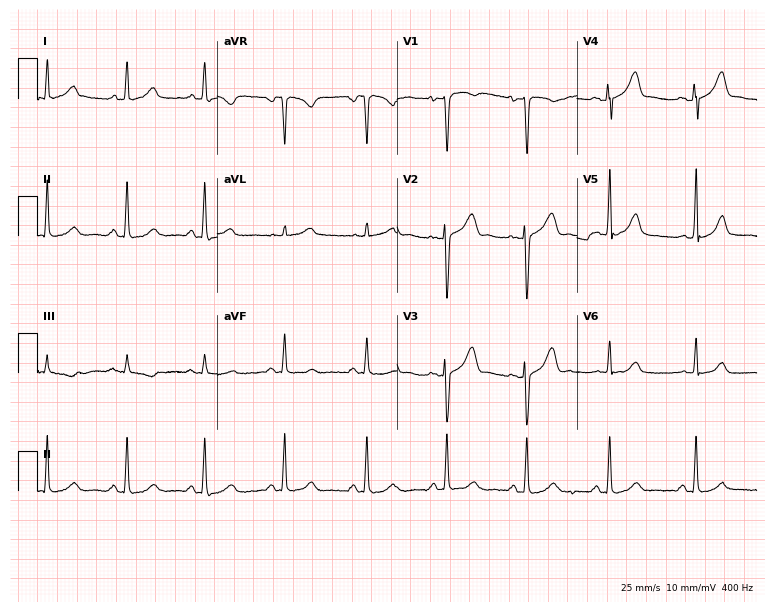
Electrocardiogram (7.3-second recording at 400 Hz), a female patient, 30 years old. Of the six screened findings (first-degree AV block, right bundle branch block, left bundle branch block, sinus bradycardia, atrial fibrillation, sinus tachycardia), none is recorded. Findings outside these six are not listed.